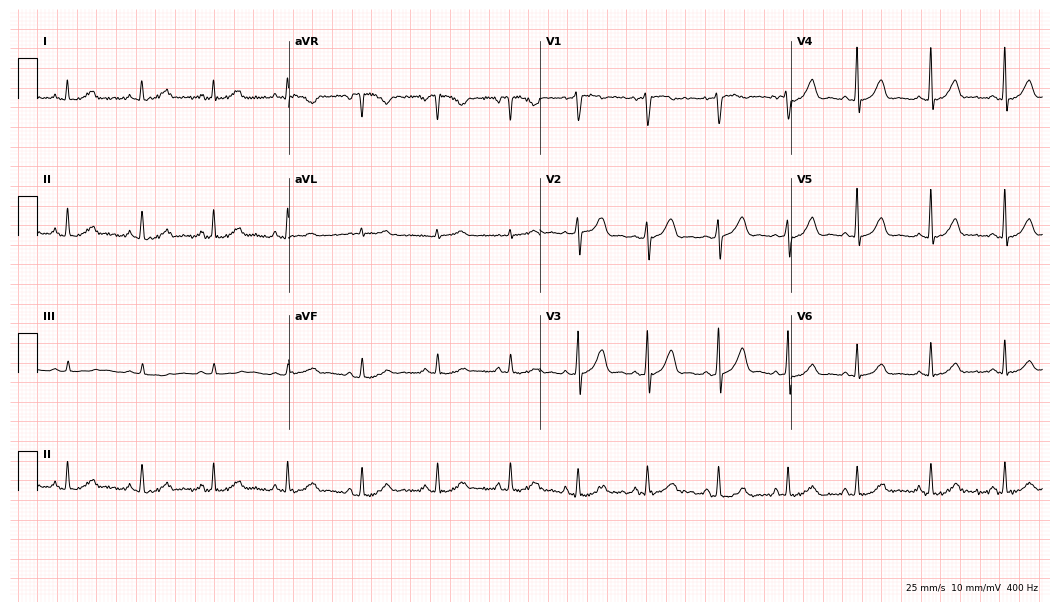
Standard 12-lead ECG recorded from a female patient, 29 years old (10.2-second recording at 400 Hz). Read as a normal ECG.